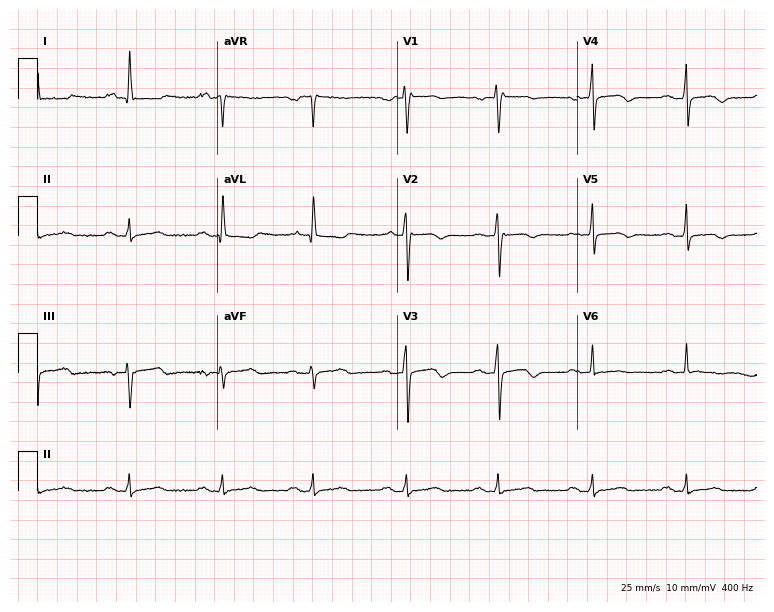
Standard 12-lead ECG recorded from a woman, 58 years old. None of these six findings is recorded: first-degree AV block, right bundle branch block, left bundle branch block, sinus bradycardia, atrial fibrillation, sinus tachycardia.